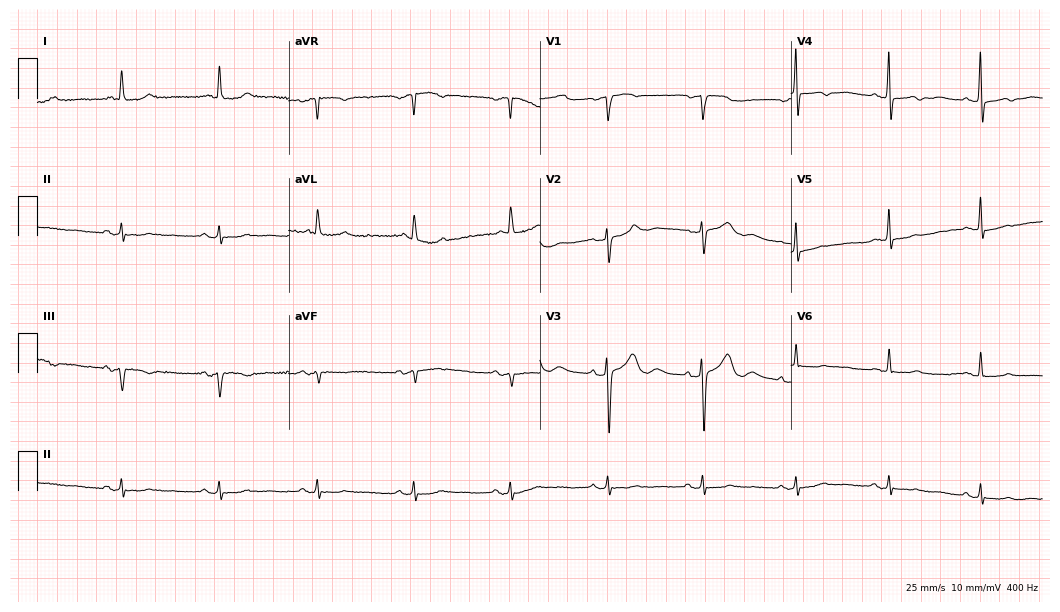
12-lead ECG (10.2-second recording at 400 Hz) from a female patient, 83 years old. Screened for six findings — first-degree AV block, right bundle branch block (RBBB), left bundle branch block (LBBB), sinus bradycardia, atrial fibrillation (AF), sinus tachycardia — none is recorded.